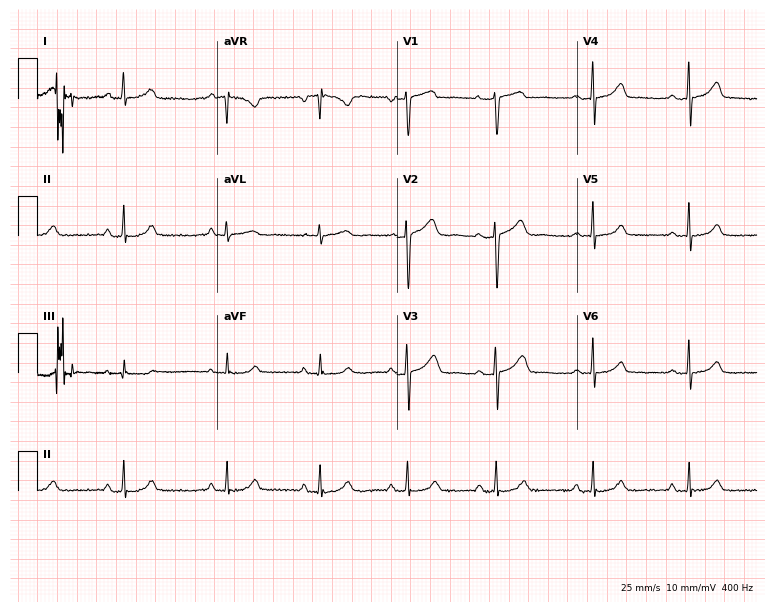
ECG (7.3-second recording at 400 Hz) — a 39-year-old woman. Screened for six findings — first-degree AV block, right bundle branch block (RBBB), left bundle branch block (LBBB), sinus bradycardia, atrial fibrillation (AF), sinus tachycardia — none is recorded.